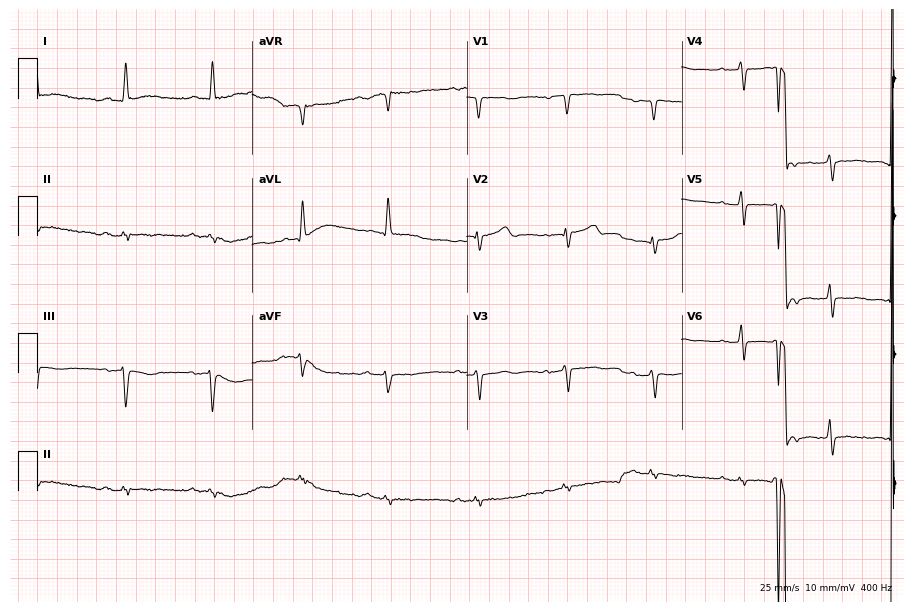
Resting 12-lead electrocardiogram (8.8-second recording at 400 Hz). Patient: an 82-year-old man. None of these six findings is recorded: first-degree AV block, right bundle branch block, left bundle branch block, sinus bradycardia, atrial fibrillation, sinus tachycardia.